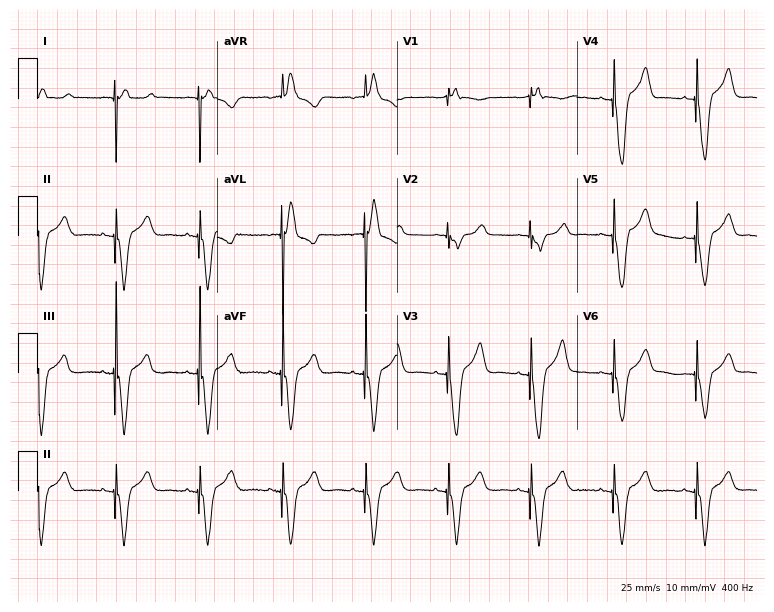
12-lead ECG (7.3-second recording at 400 Hz) from a female, 84 years old. Screened for six findings — first-degree AV block, right bundle branch block, left bundle branch block, sinus bradycardia, atrial fibrillation, sinus tachycardia — none is recorded.